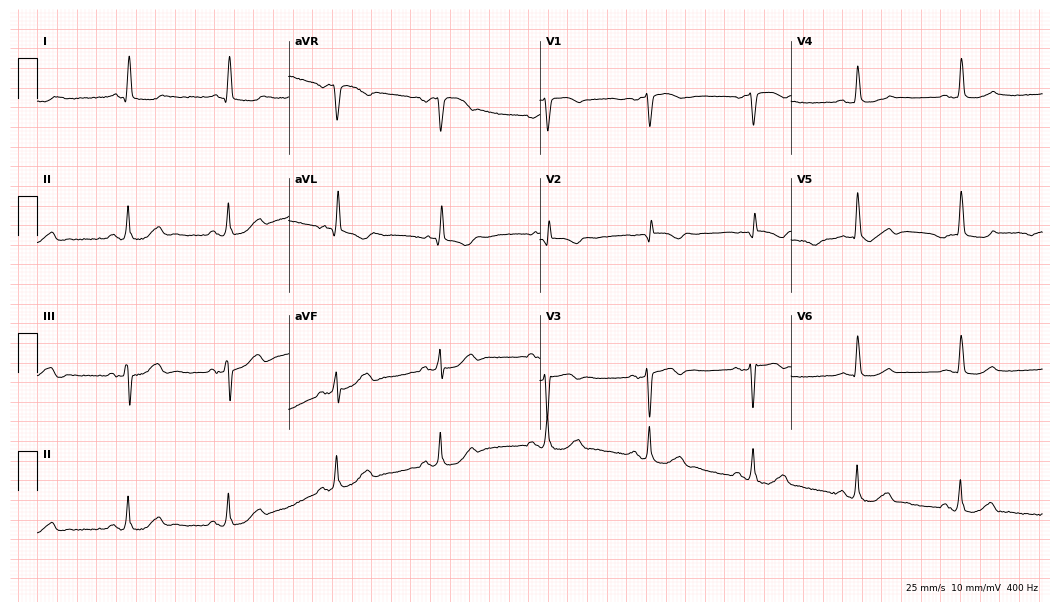
Standard 12-lead ECG recorded from a female patient, 77 years old (10.2-second recording at 400 Hz). None of these six findings is recorded: first-degree AV block, right bundle branch block, left bundle branch block, sinus bradycardia, atrial fibrillation, sinus tachycardia.